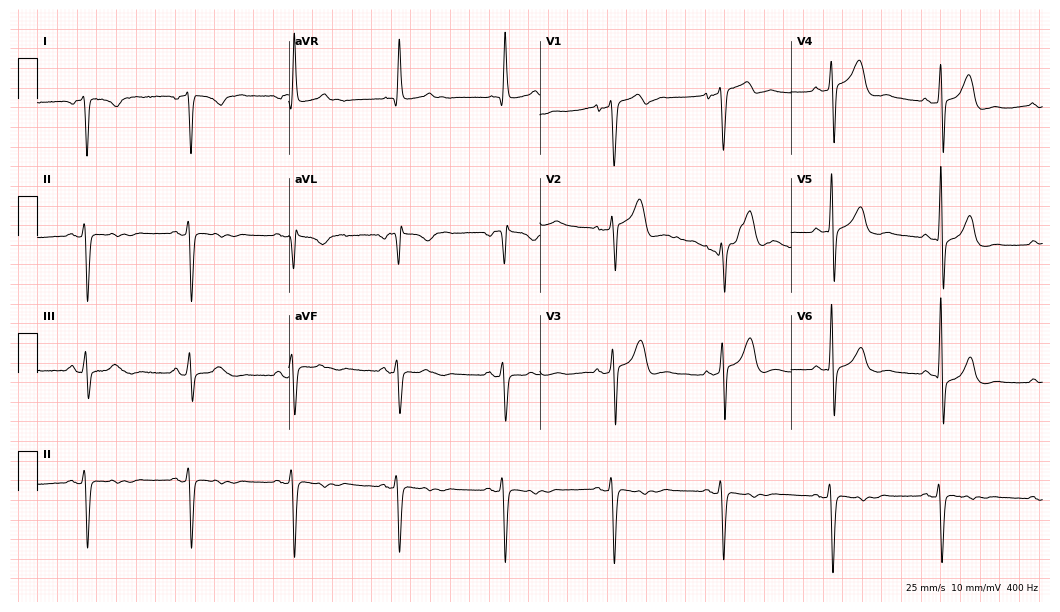
ECG (10.2-second recording at 400 Hz) — a 69-year-old male. Screened for six findings — first-degree AV block, right bundle branch block, left bundle branch block, sinus bradycardia, atrial fibrillation, sinus tachycardia — none is recorded.